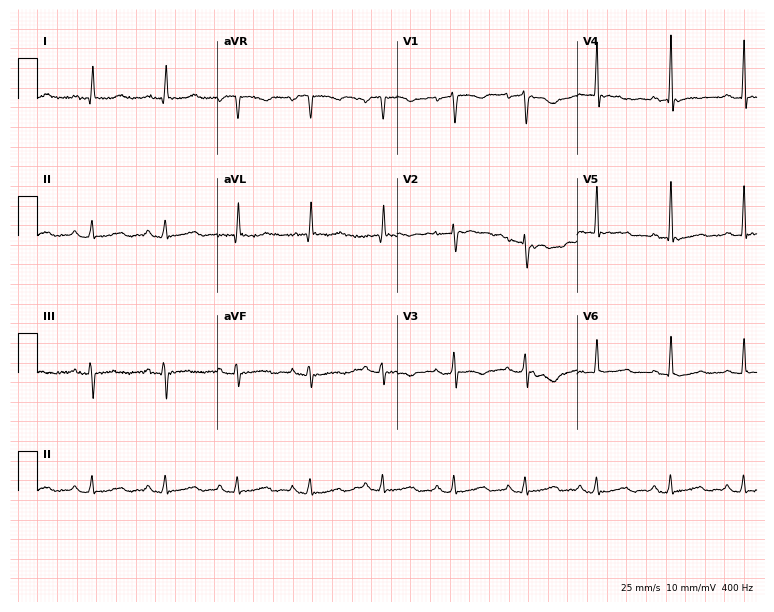
ECG (7.3-second recording at 400 Hz) — a 52-year-old female. Screened for six findings — first-degree AV block, right bundle branch block, left bundle branch block, sinus bradycardia, atrial fibrillation, sinus tachycardia — none is recorded. Findings outside these six are not listed.